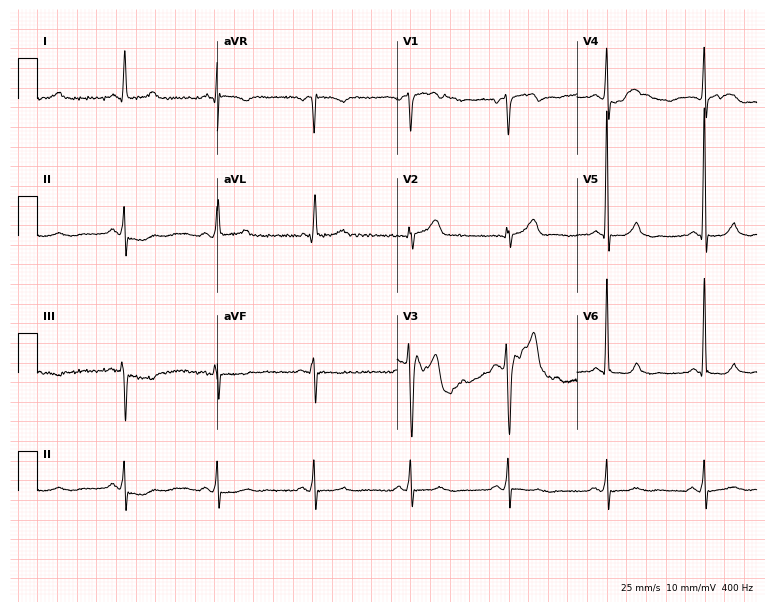
12-lead ECG from a 63-year-old man (7.3-second recording at 400 Hz). No first-degree AV block, right bundle branch block, left bundle branch block, sinus bradycardia, atrial fibrillation or sinus tachycardia recorded for this tracing. Other findings, if any, are not listed.